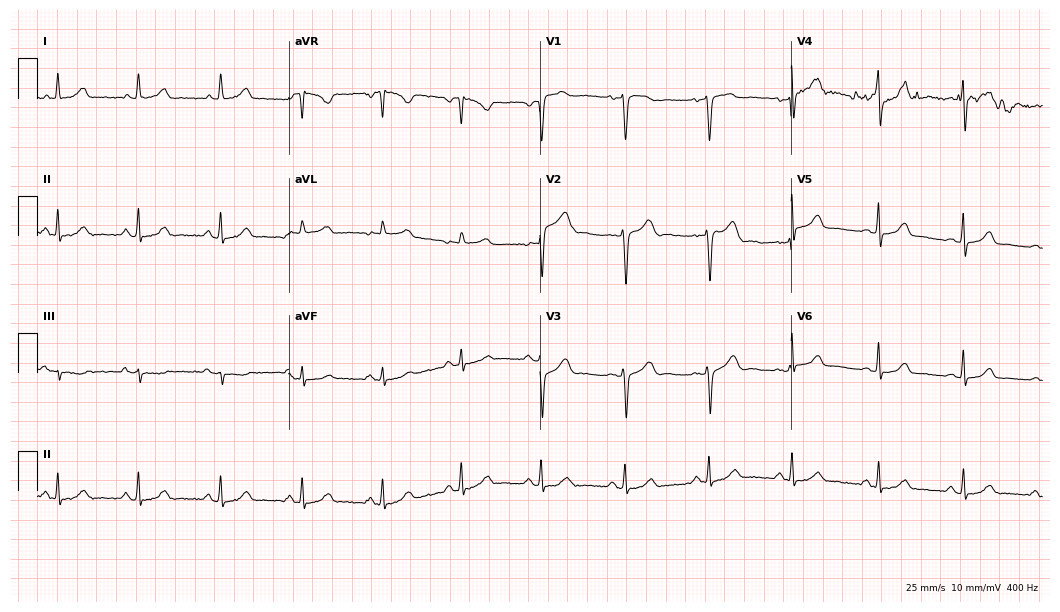
Electrocardiogram (10.2-second recording at 400 Hz), a 29-year-old woman. Overall reading on record: normal ECG.